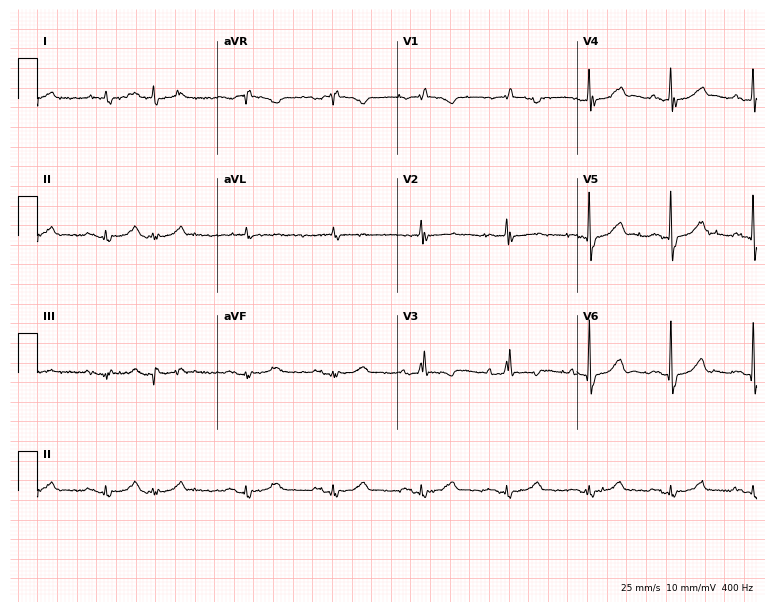
12-lead ECG from a male patient, 84 years old. No first-degree AV block, right bundle branch block (RBBB), left bundle branch block (LBBB), sinus bradycardia, atrial fibrillation (AF) or sinus tachycardia recorded for this tracing.